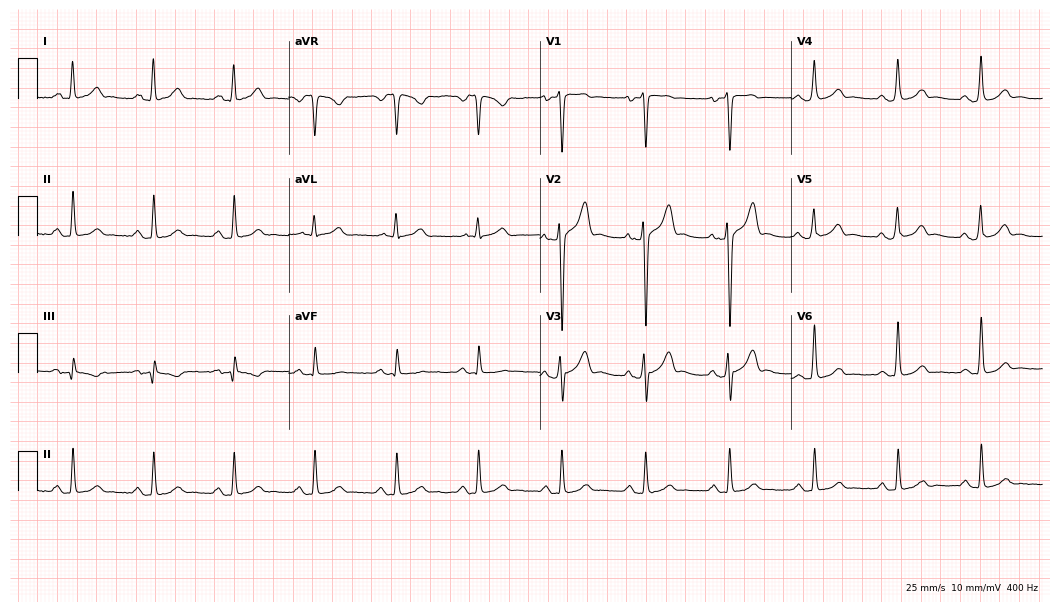
12-lead ECG (10.2-second recording at 400 Hz) from a 28-year-old male. Labelled as a normal ECG.